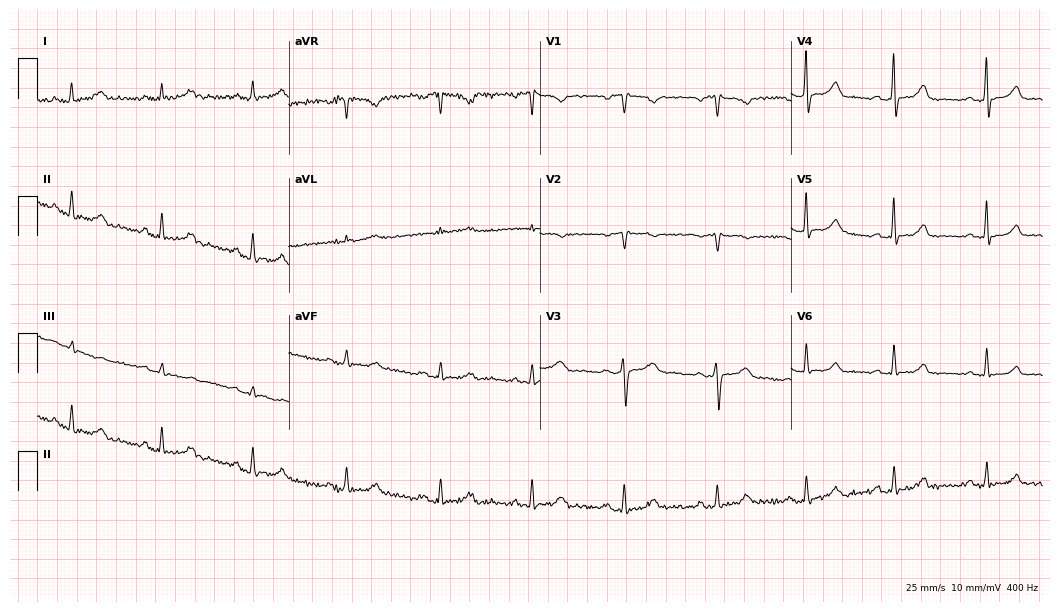
12-lead ECG (10.2-second recording at 400 Hz) from a woman, 58 years old. Labelled as a normal ECG.